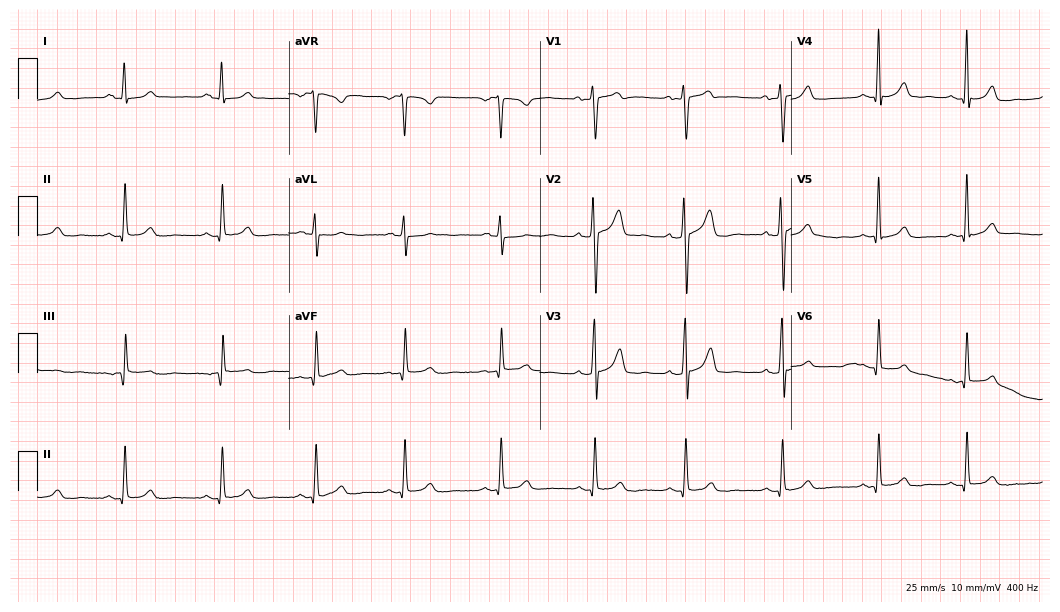
ECG (10.2-second recording at 400 Hz) — a 30-year-old female. Labelled as a normal ECG.